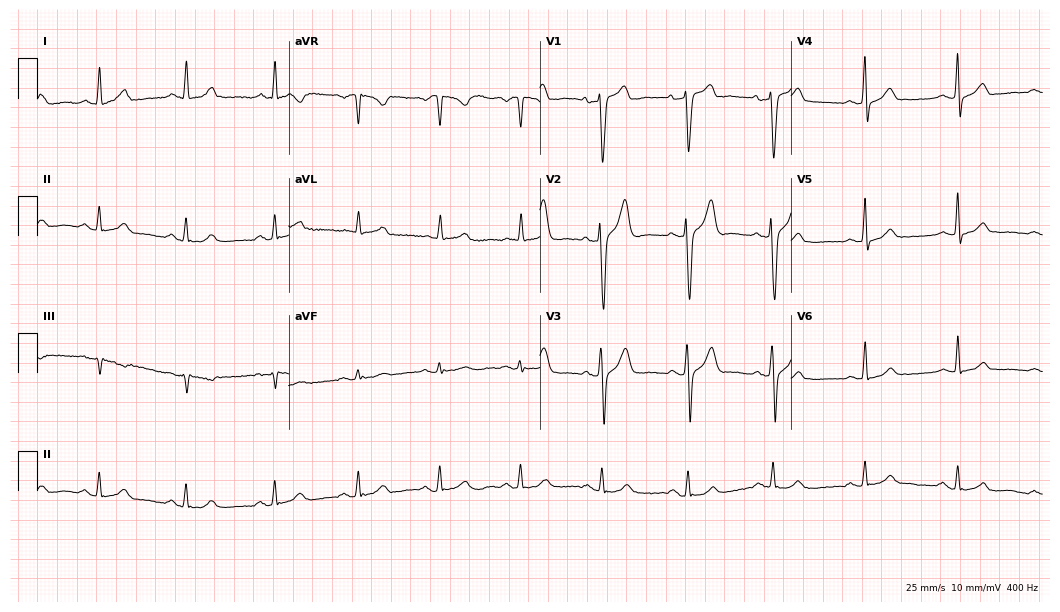
12-lead ECG from a male, 48 years old. Recorded interpretation: within normal limits.